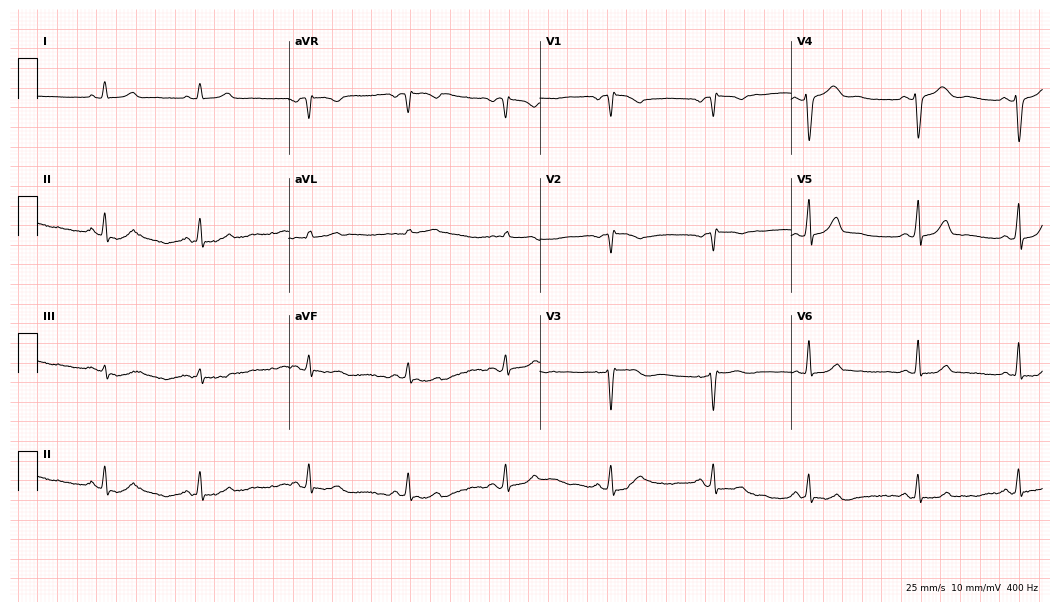
12-lead ECG from a female patient, 21 years old. Screened for six findings — first-degree AV block, right bundle branch block (RBBB), left bundle branch block (LBBB), sinus bradycardia, atrial fibrillation (AF), sinus tachycardia — none is recorded. Findings outside these six are not listed.